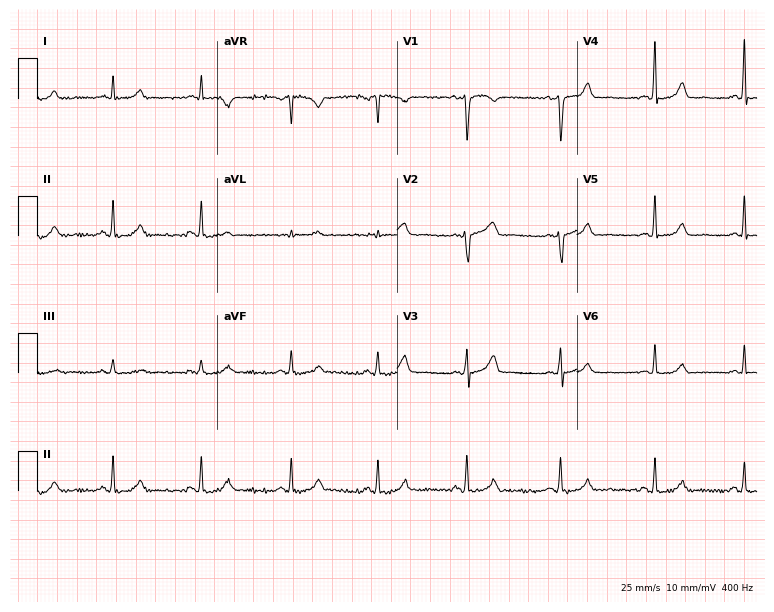
Standard 12-lead ECG recorded from a female patient, 46 years old (7.3-second recording at 400 Hz). Read as a normal ECG.